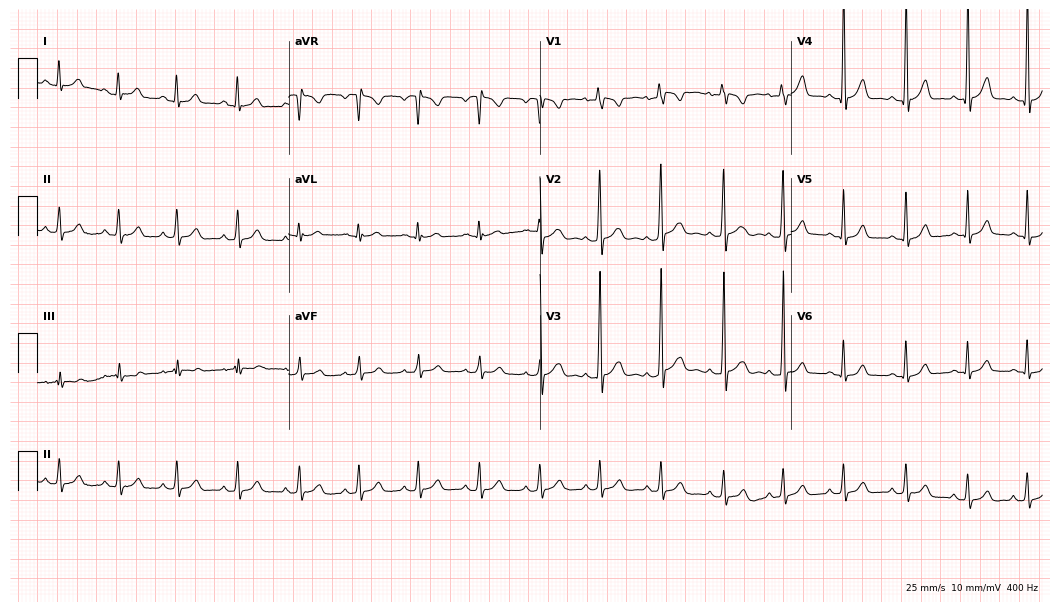
ECG (10.2-second recording at 400 Hz) — a male, 48 years old. Screened for six findings — first-degree AV block, right bundle branch block, left bundle branch block, sinus bradycardia, atrial fibrillation, sinus tachycardia — none is recorded. Findings outside these six are not listed.